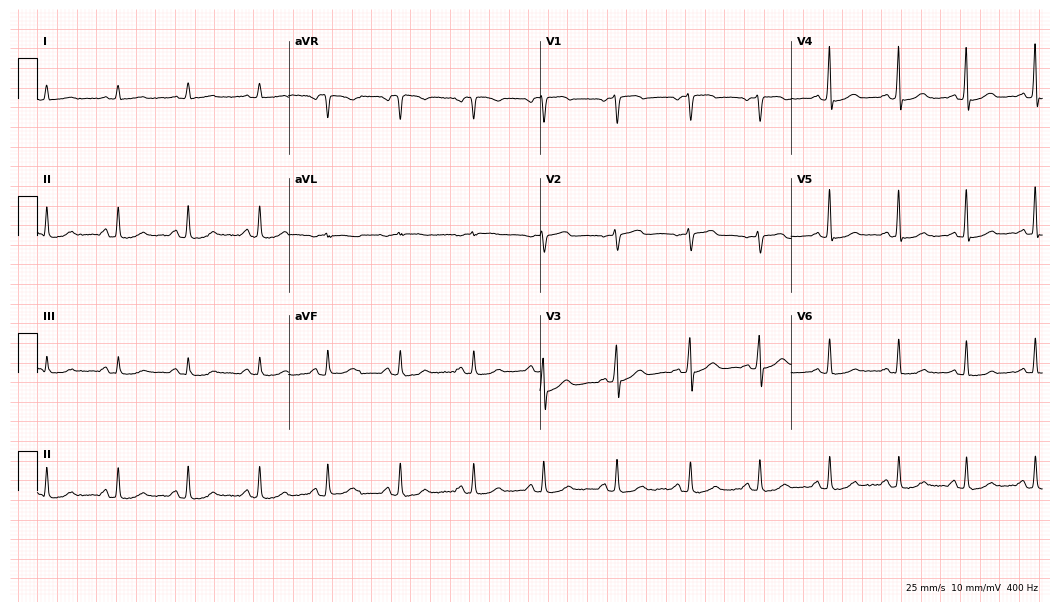
12-lead ECG from a female, 53 years old (10.2-second recording at 400 Hz). No first-degree AV block, right bundle branch block, left bundle branch block, sinus bradycardia, atrial fibrillation or sinus tachycardia recorded for this tracing.